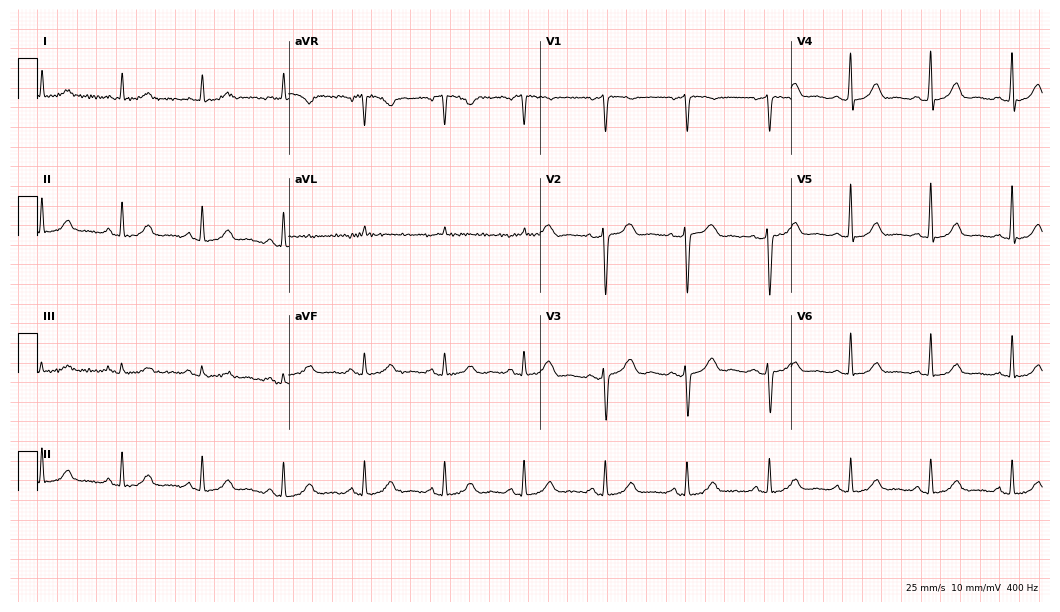
12-lead ECG (10.2-second recording at 400 Hz) from a 70-year-old female. Labelled as a normal ECG.